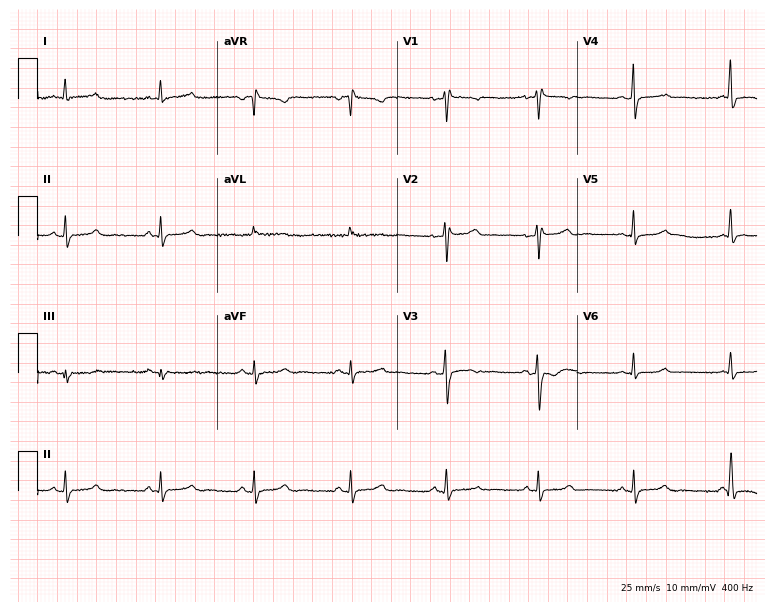
12-lead ECG from a woman, 40 years old. No first-degree AV block, right bundle branch block (RBBB), left bundle branch block (LBBB), sinus bradycardia, atrial fibrillation (AF) or sinus tachycardia recorded for this tracing. Other findings, if any, are not listed.